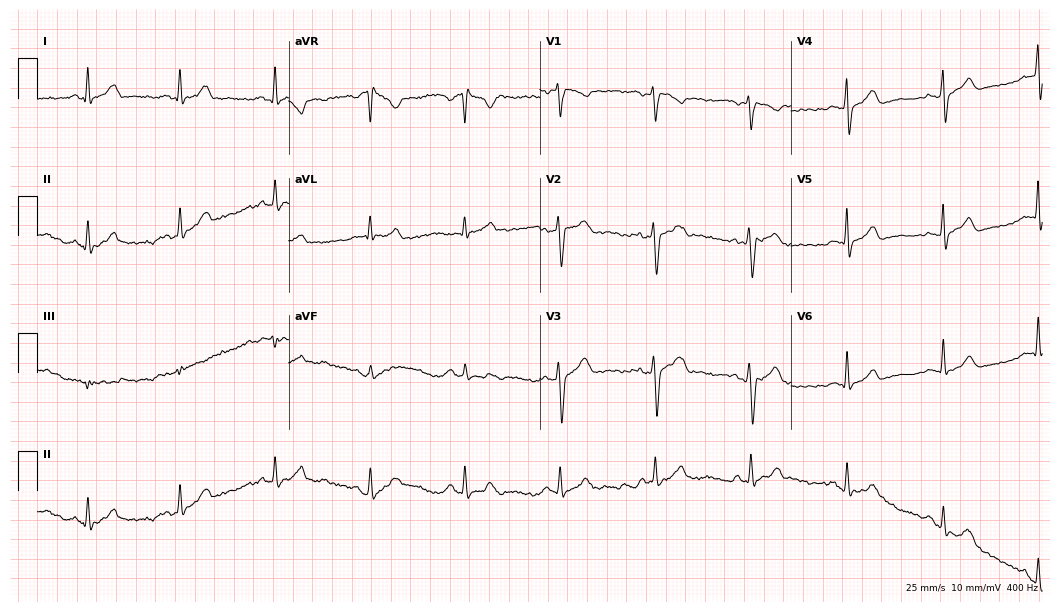
Resting 12-lead electrocardiogram (10.2-second recording at 400 Hz). Patient: a female, 37 years old. None of these six findings is recorded: first-degree AV block, right bundle branch block, left bundle branch block, sinus bradycardia, atrial fibrillation, sinus tachycardia. Other findings, if any, are not listed.